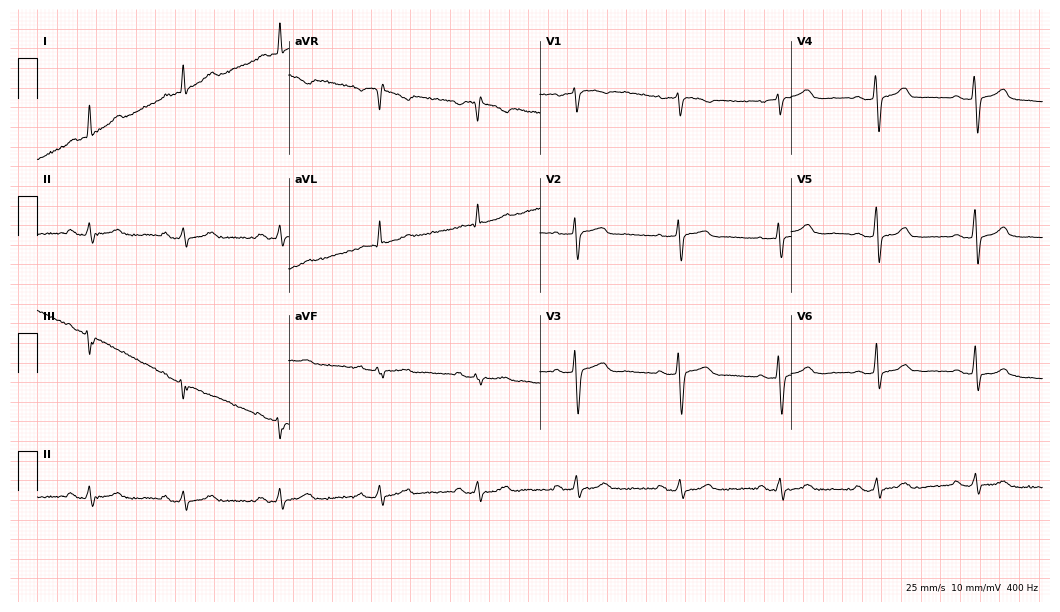
12-lead ECG from a 71-year-old woman. Labelled as a normal ECG.